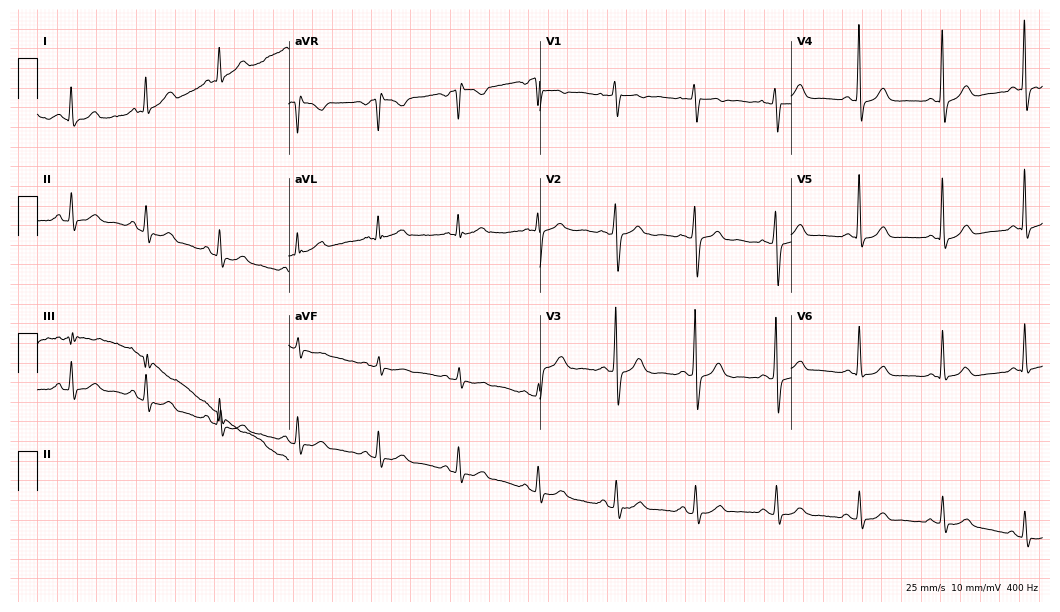
12-lead ECG from a 69-year-old female. Labelled as a normal ECG.